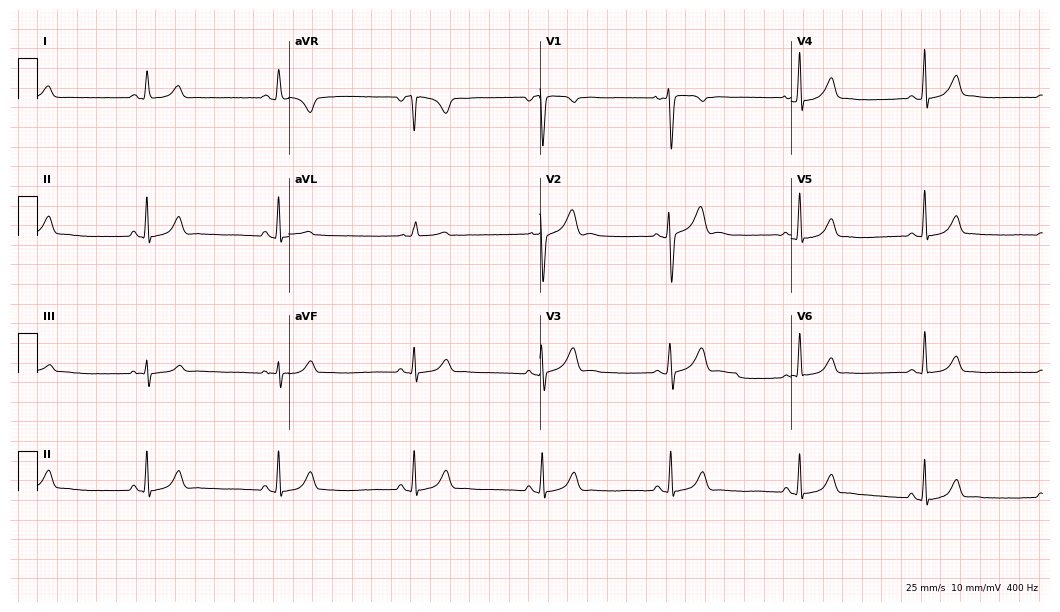
Electrocardiogram, a 19-year-old female. Of the six screened findings (first-degree AV block, right bundle branch block, left bundle branch block, sinus bradycardia, atrial fibrillation, sinus tachycardia), none is recorded. Findings outside these six are not listed.